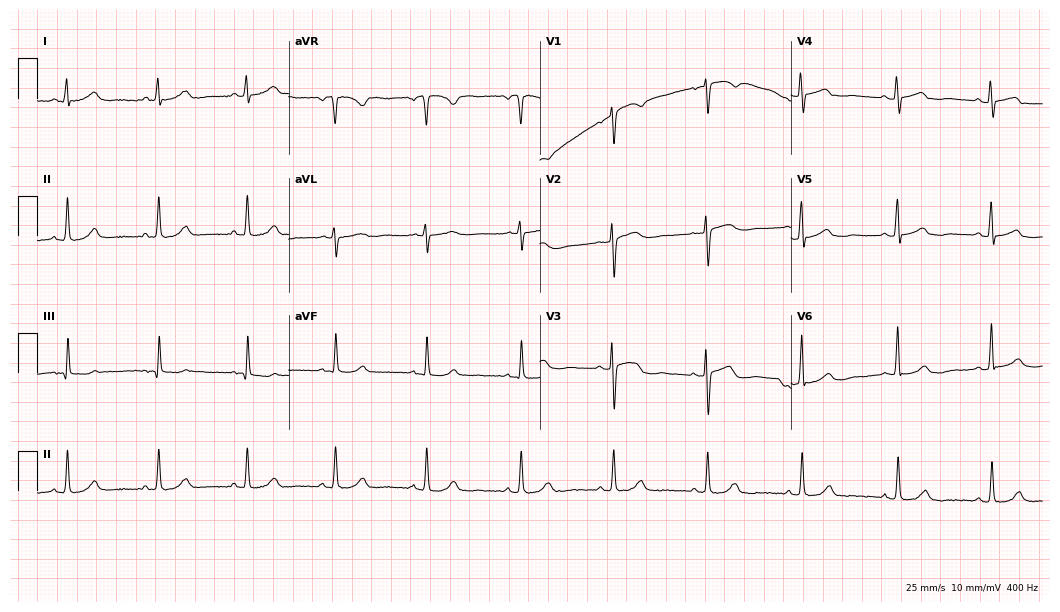
Resting 12-lead electrocardiogram. Patient: a 52-year-old female. Read as a normal ECG.